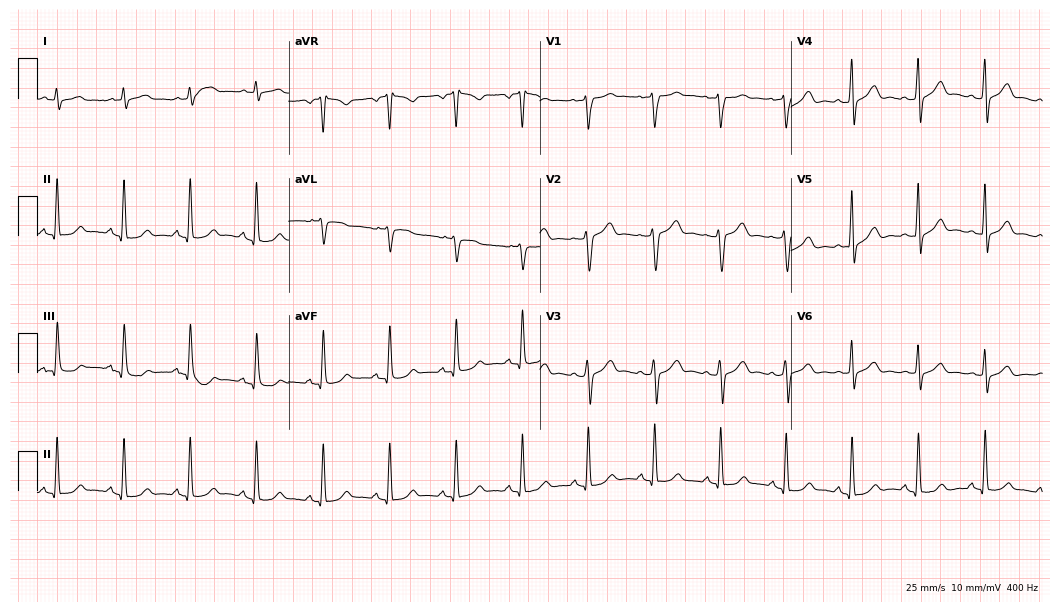
Electrocardiogram, a man, 57 years old. Overall reading on record: normal ECG.